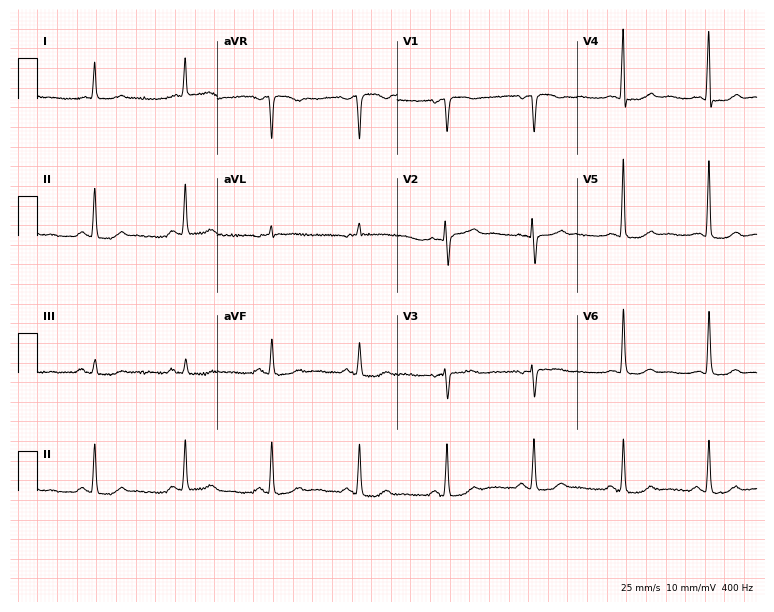
Standard 12-lead ECG recorded from a woman, 73 years old. None of these six findings is recorded: first-degree AV block, right bundle branch block, left bundle branch block, sinus bradycardia, atrial fibrillation, sinus tachycardia. Only these six findings were labelled.